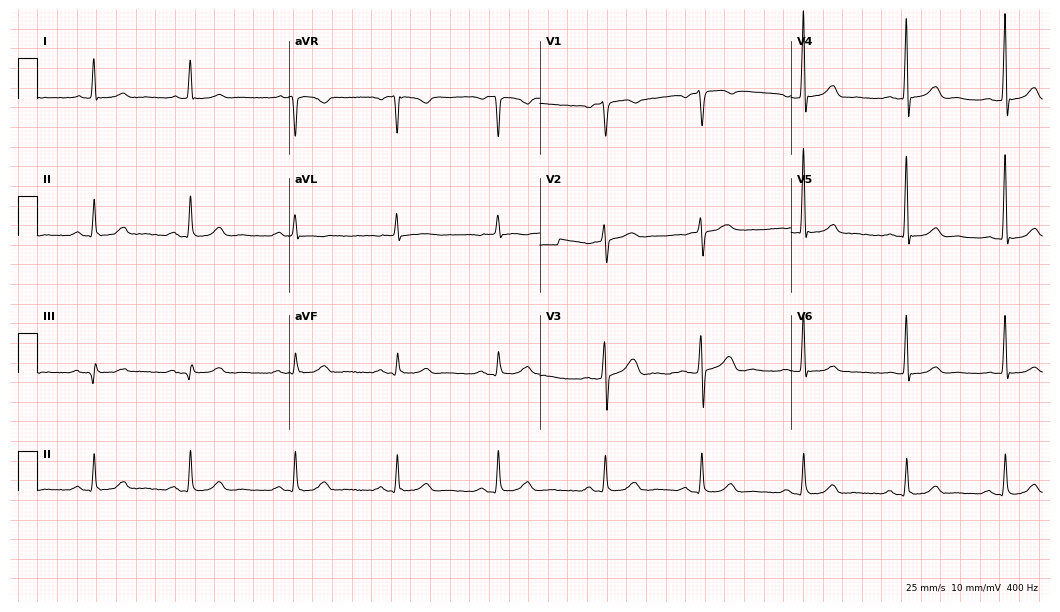
ECG (10.2-second recording at 400 Hz) — a 78-year-old male patient. Screened for six findings — first-degree AV block, right bundle branch block, left bundle branch block, sinus bradycardia, atrial fibrillation, sinus tachycardia — none is recorded. Only these six findings were labelled.